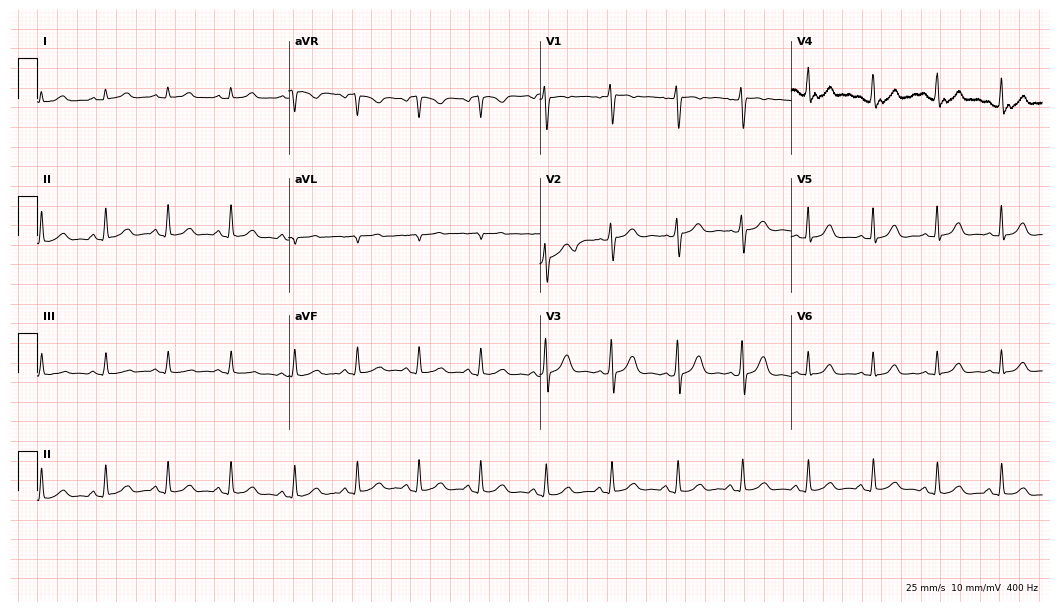
ECG — a female patient, 22 years old. Labelled as a normal ECG.